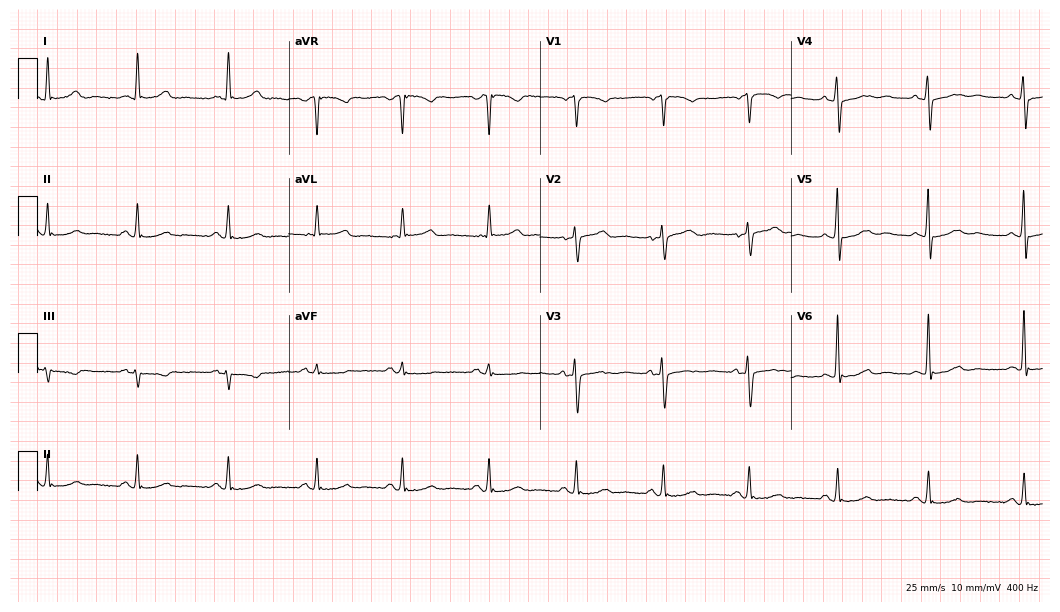
Standard 12-lead ECG recorded from a female, 78 years old (10.2-second recording at 400 Hz). None of these six findings is recorded: first-degree AV block, right bundle branch block (RBBB), left bundle branch block (LBBB), sinus bradycardia, atrial fibrillation (AF), sinus tachycardia.